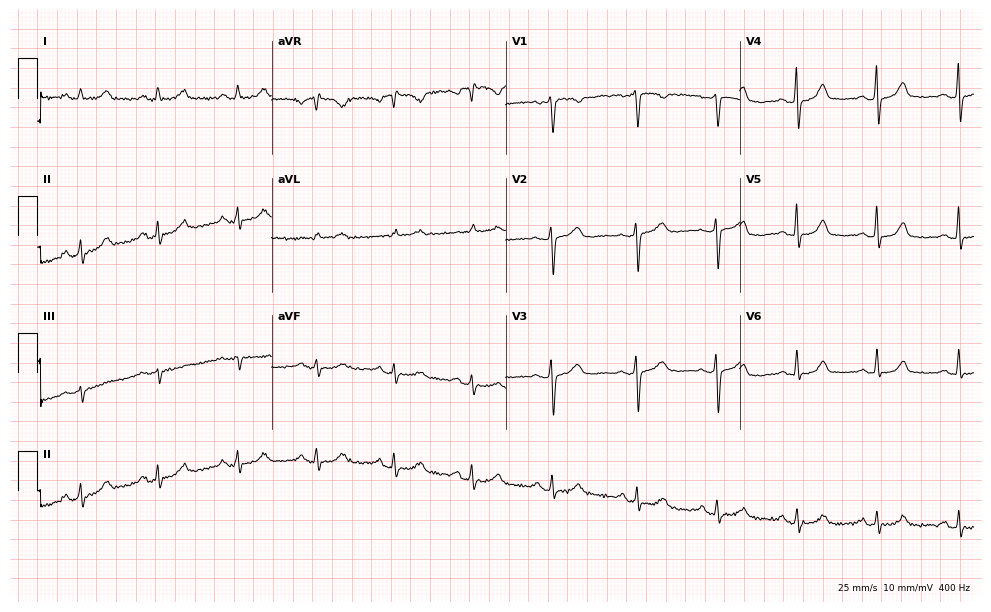
Standard 12-lead ECG recorded from a 64-year-old female. Read as a normal ECG.